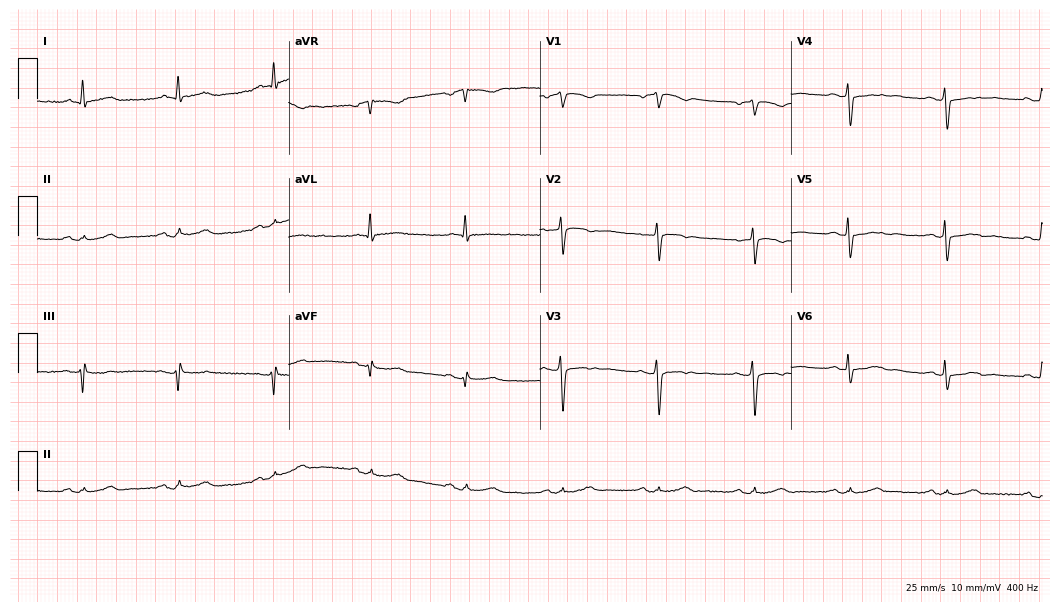
Standard 12-lead ECG recorded from a 68-year-old male patient (10.2-second recording at 400 Hz). None of these six findings is recorded: first-degree AV block, right bundle branch block, left bundle branch block, sinus bradycardia, atrial fibrillation, sinus tachycardia. Only these six findings were labelled.